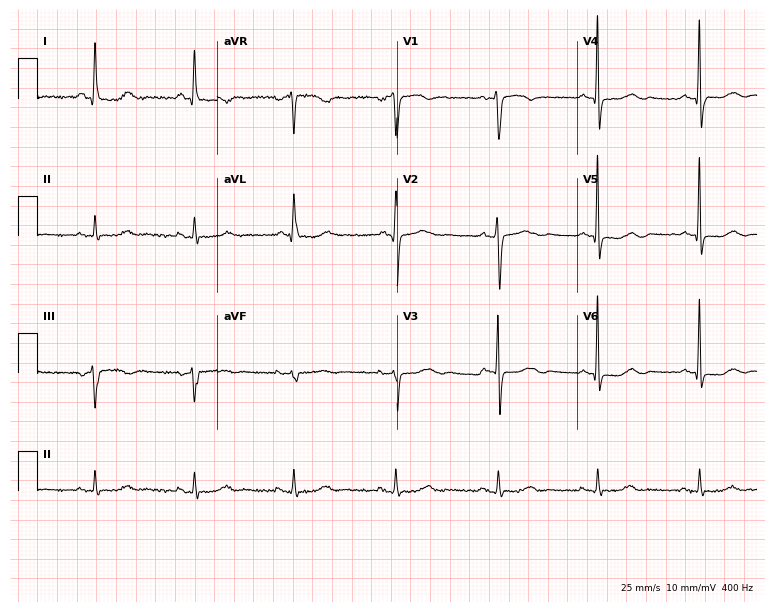
Electrocardiogram, a 63-year-old female patient. Of the six screened findings (first-degree AV block, right bundle branch block, left bundle branch block, sinus bradycardia, atrial fibrillation, sinus tachycardia), none is recorded. Other findings, if any, are not listed.